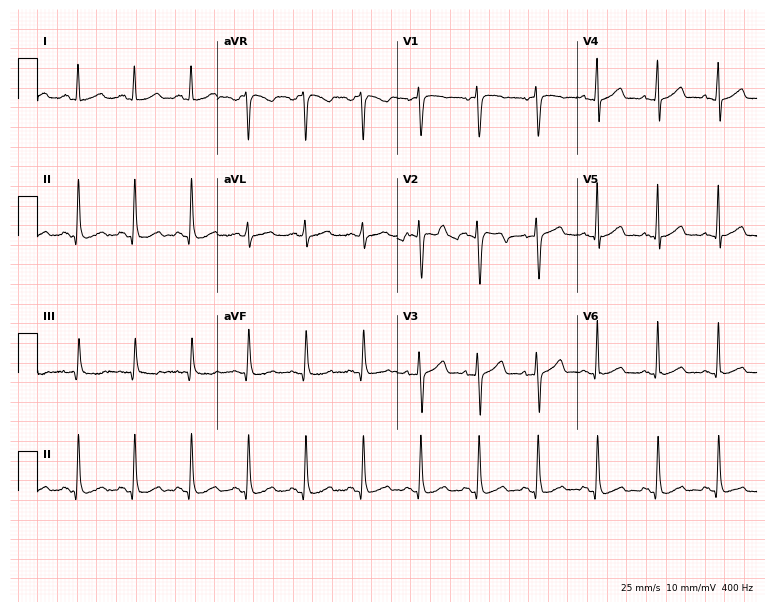
12-lead ECG from a female patient, 39 years old. Findings include sinus tachycardia (a sinus rate of 100 beats per minute or more).